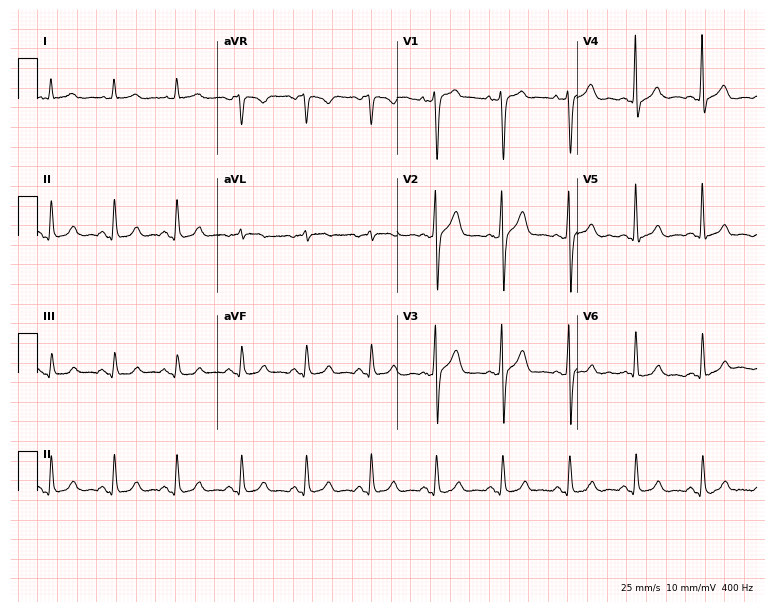
Resting 12-lead electrocardiogram (7.3-second recording at 400 Hz). Patient: a 57-year-old male. Read as a normal ECG.